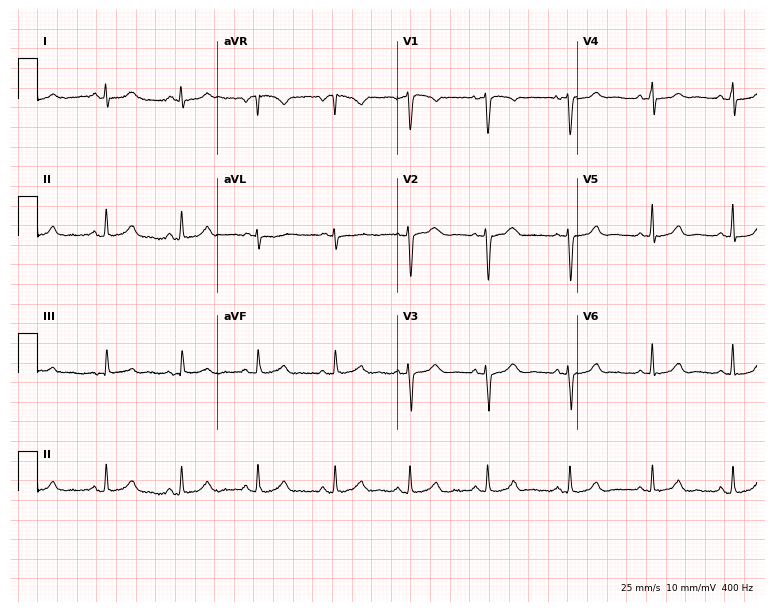
Resting 12-lead electrocardiogram. Patient: a 35-year-old woman. Read as a normal ECG.